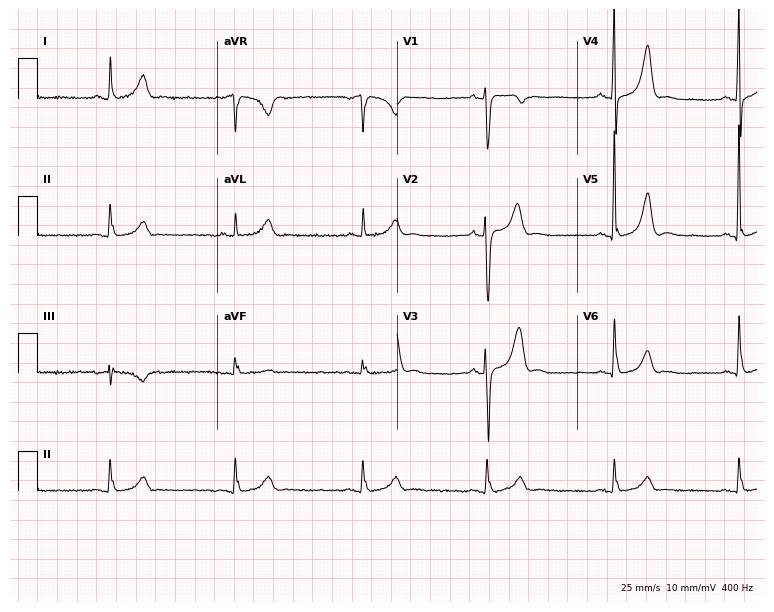
12-lead ECG from a man, 63 years old. Shows sinus bradycardia (a sinus rate of 50 beats per minute or less).